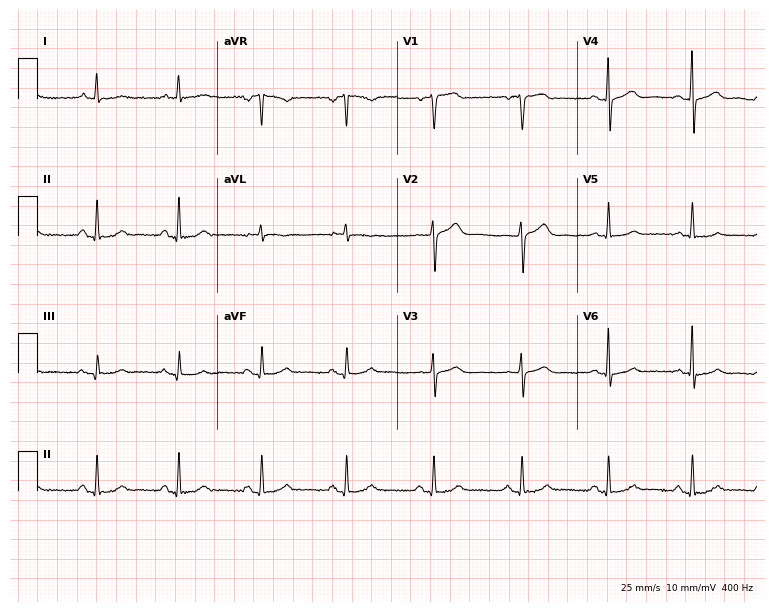
Resting 12-lead electrocardiogram (7.3-second recording at 400 Hz). Patient: a 60-year-old female. Read as a normal ECG.